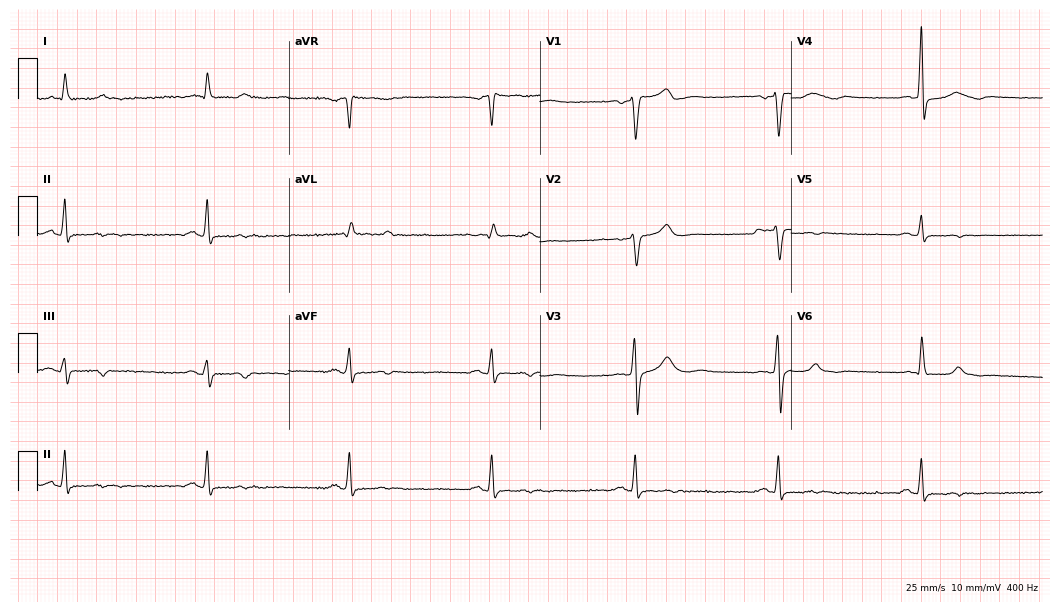
ECG (10.2-second recording at 400 Hz) — a man, 71 years old. Findings include sinus bradycardia (a sinus rate of 50 beats per minute or less).